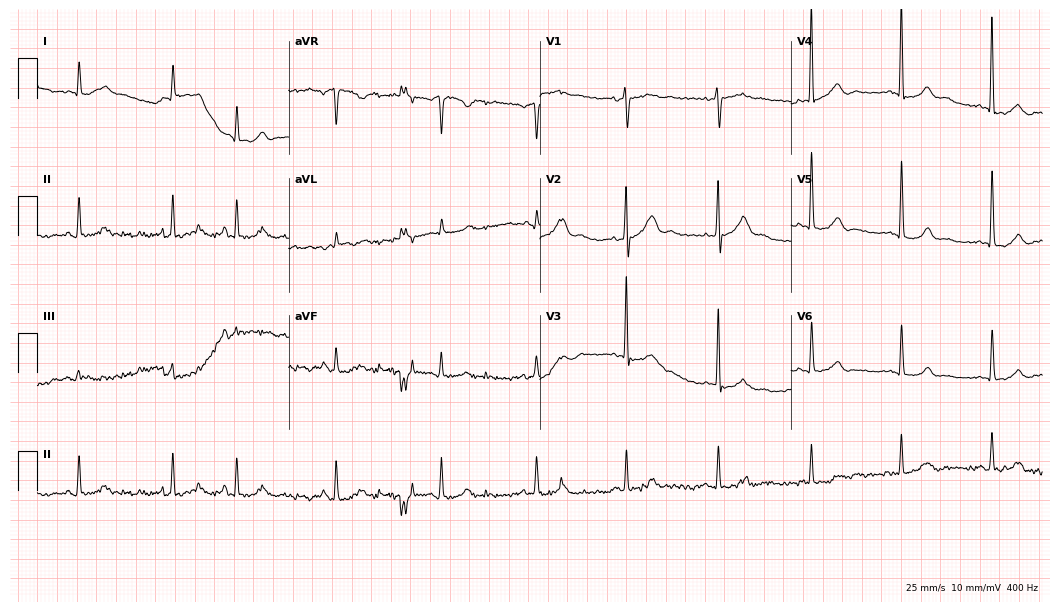
Electrocardiogram, a 79-year-old male patient. Overall reading on record: normal ECG.